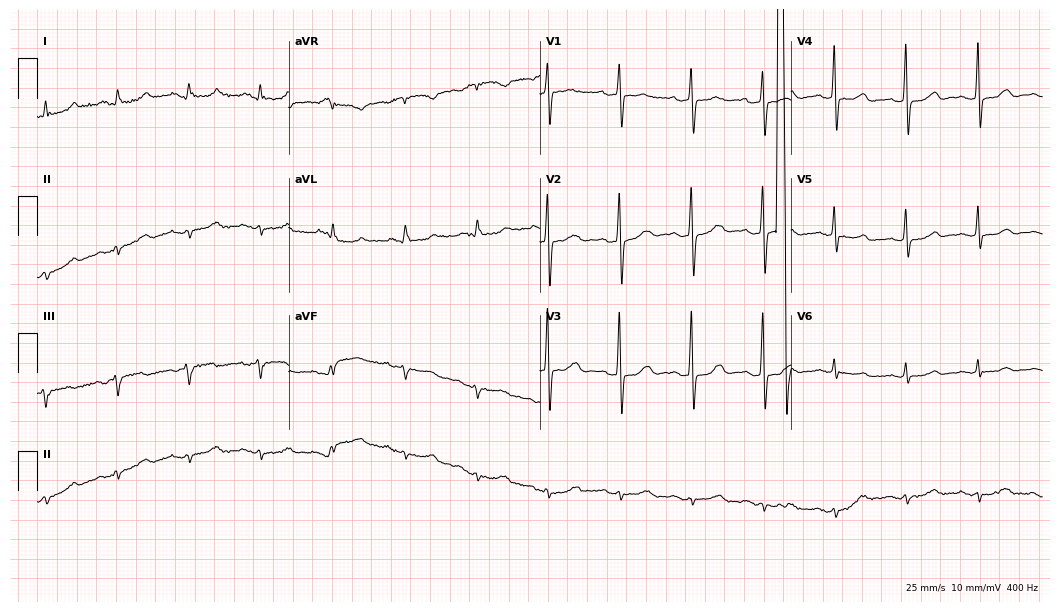
ECG (10.2-second recording at 400 Hz) — a female, 78 years old. Screened for six findings — first-degree AV block, right bundle branch block, left bundle branch block, sinus bradycardia, atrial fibrillation, sinus tachycardia — none is recorded.